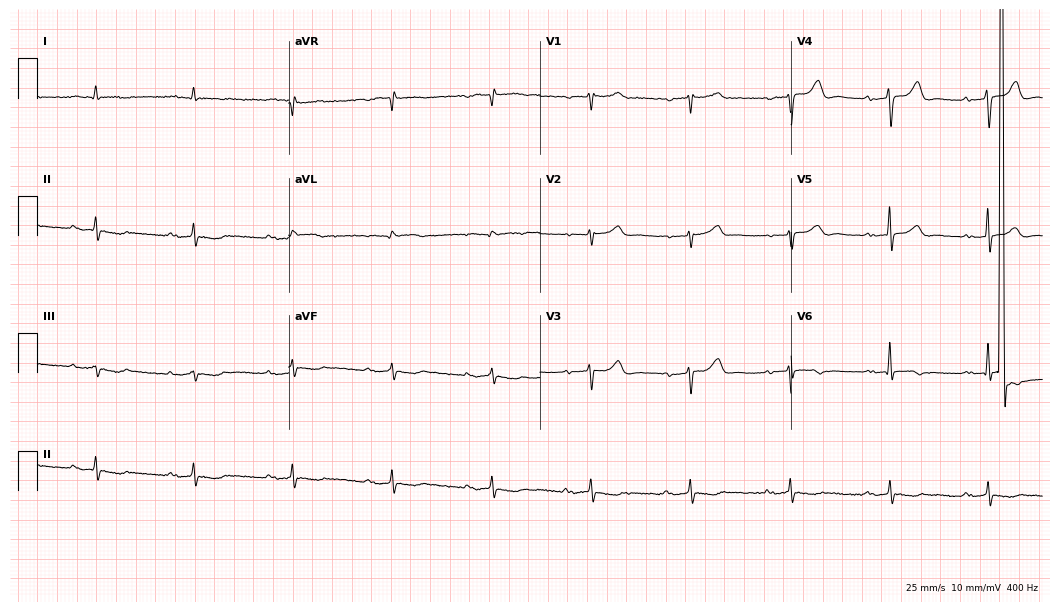
12-lead ECG (10.2-second recording at 400 Hz) from a 75-year-old male. Screened for six findings — first-degree AV block, right bundle branch block (RBBB), left bundle branch block (LBBB), sinus bradycardia, atrial fibrillation (AF), sinus tachycardia — none is recorded.